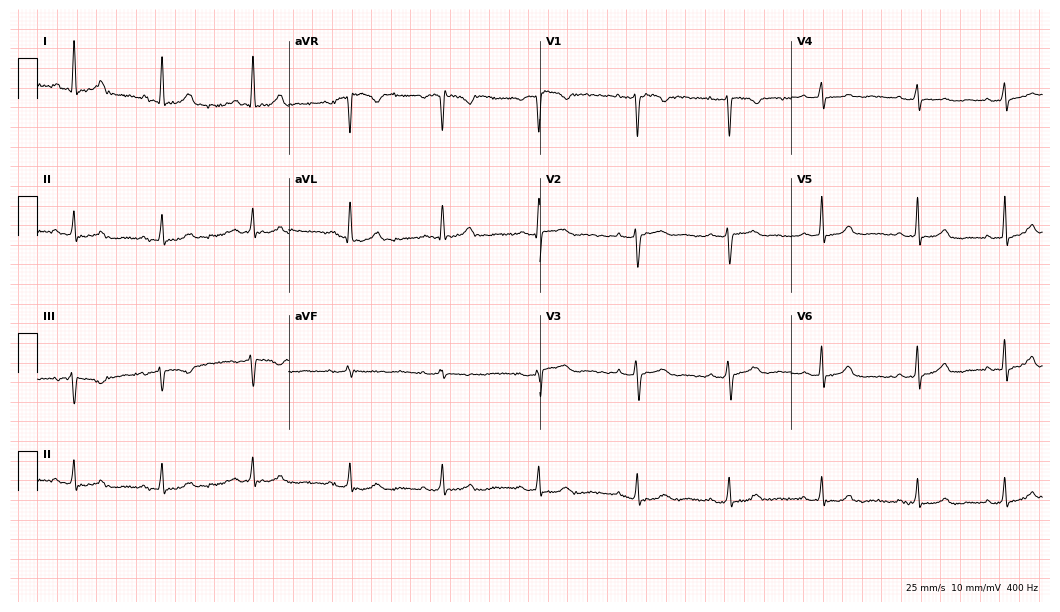
ECG — a female patient, 46 years old. Screened for six findings — first-degree AV block, right bundle branch block (RBBB), left bundle branch block (LBBB), sinus bradycardia, atrial fibrillation (AF), sinus tachycardia — none is recorded. Other findings, if any, are not listed.